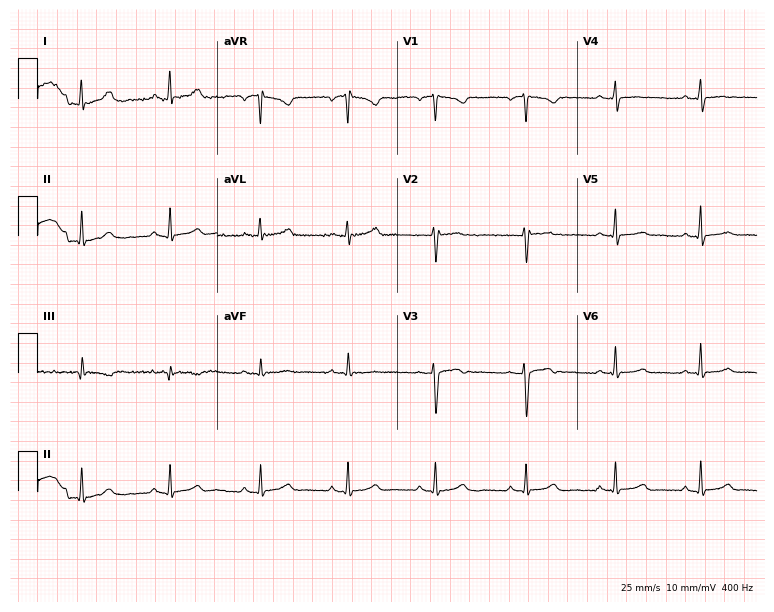
Resting 12-lead electrocardiogram (7.3-second recording at 400 Hz). Patient: a 41-year-old female. None of these six findings is recorded: first-degree AV block, right bundle branch block, left bundle branch block, sinus bradycardia, atrial fibrillation, sinus tachycardia. Only these six findings were labelled.